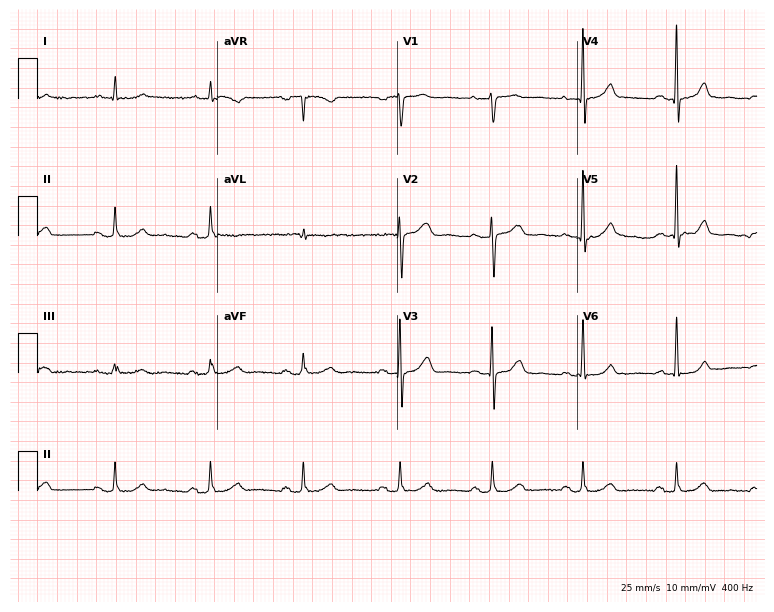
Resting 12-lead electrocardiogram (7.3-second recording at 400 Hz). Patient: a female, 50 years old. None of these six findings is recorded: first-degree AV block, right bundle branch block, left bundle branch block, sinus bradycardia, atrial fibrillation, sinus tachycardia. Other findings, if any, are not listed.